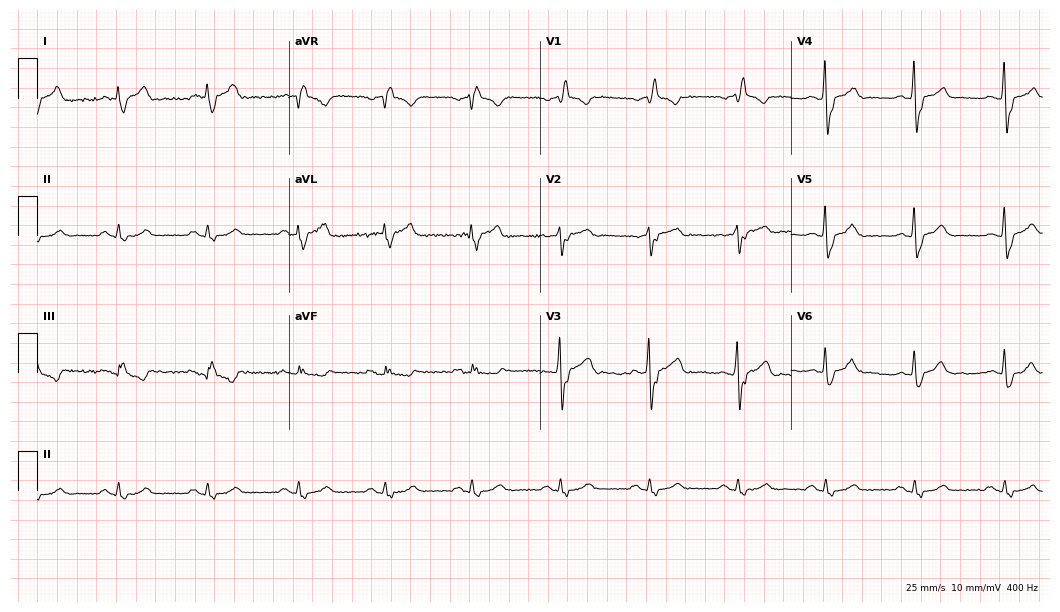
Electrocardiogram, a 64-year-old male patient. Interpretation includes right bundle branch block (RBBB).